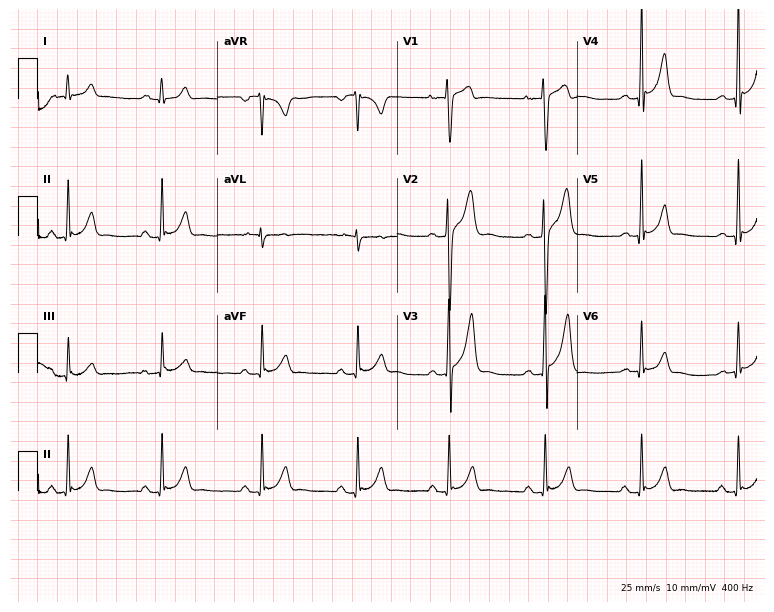
Electrocardiogram (7.3-second recording at 400 Hz), a 21-year-old male. Overall reading on record: normal ECG.